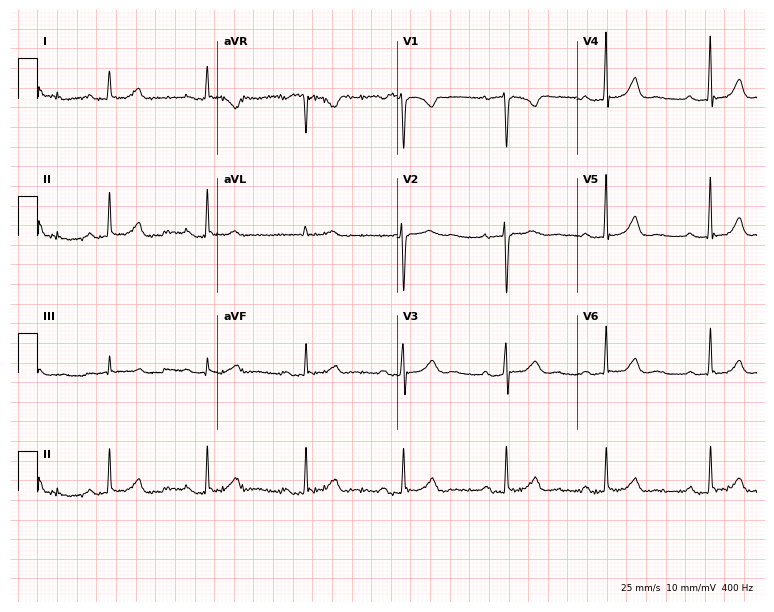
Standard 12-lead ECG recorded from a female patient, 58 years old. None of these six findings is recorded: first-degree AV block, right bundle branch block, left bundle branch block, sinus bradycardia, atrial fibrillation, sinus tachycardia. Other findings, if any, are not listed.